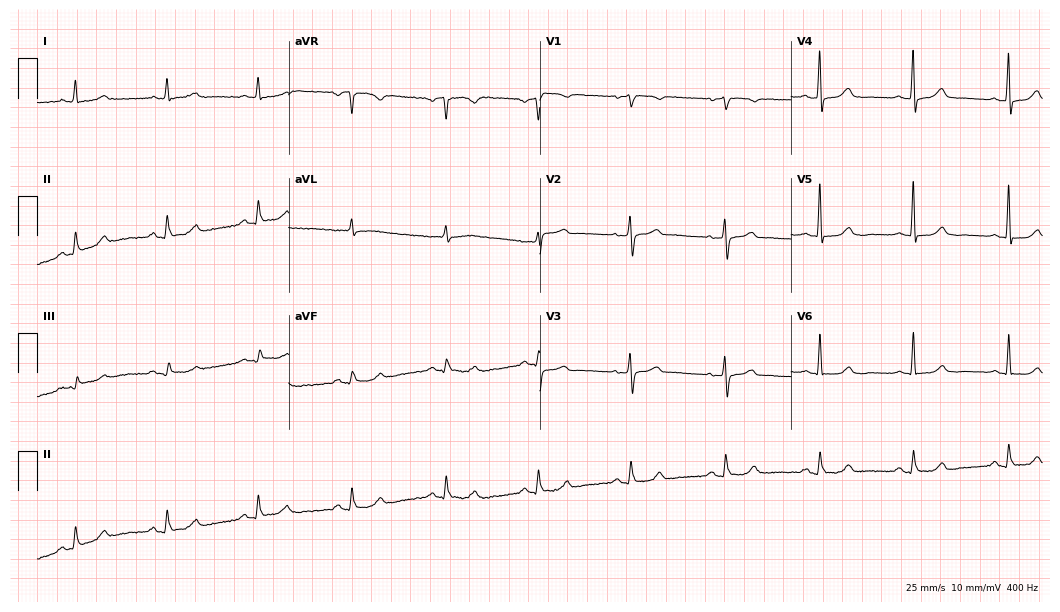
Standard 12-lead ECG recorded from a female, 76 years old. None of these six findings is recorded: first-degree AV block, right bundle branch block, left bundle branch block, sinus bradycardia, atrial fibrillation, sinus tachycardia. Only these six findings were labelled.